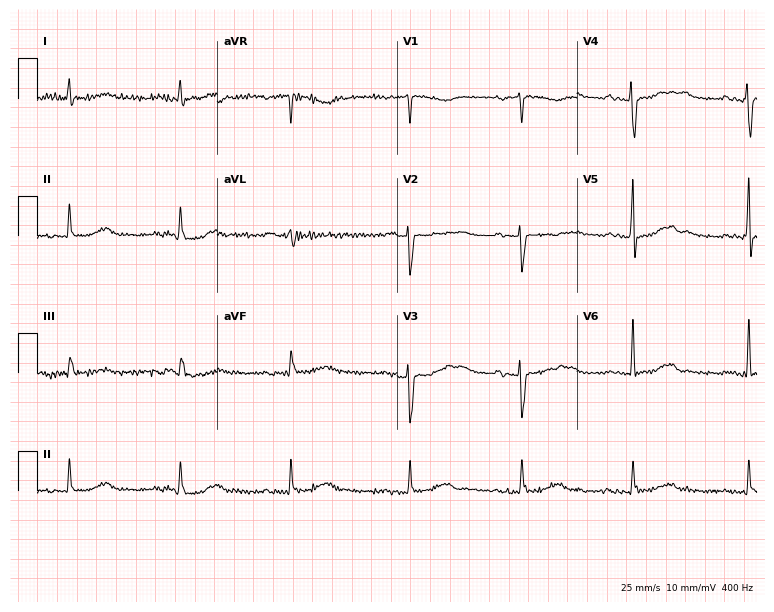
Electrocardiogram (7.3-second recording at 400 Hz), a 42-year-old female. Of the six screened findings (first-degree AV block, right bundle branch block, left bundle branch block, sinus bradycardia, atrial fibrillation, sinus tachycardia), none is recorded.